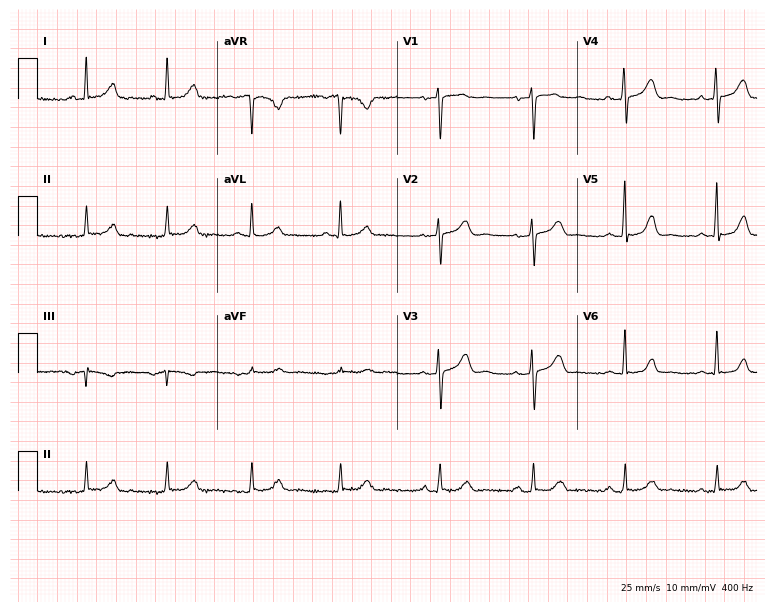
12-lead ECG from a woman, 46 years old (7.3-second recording at 400 Hz). No first-degree AV block, right bundle branch block, left bundle branch block, sinus bradycardia, atrial fibrillation or sinus tachycardia recorded for this tracing.